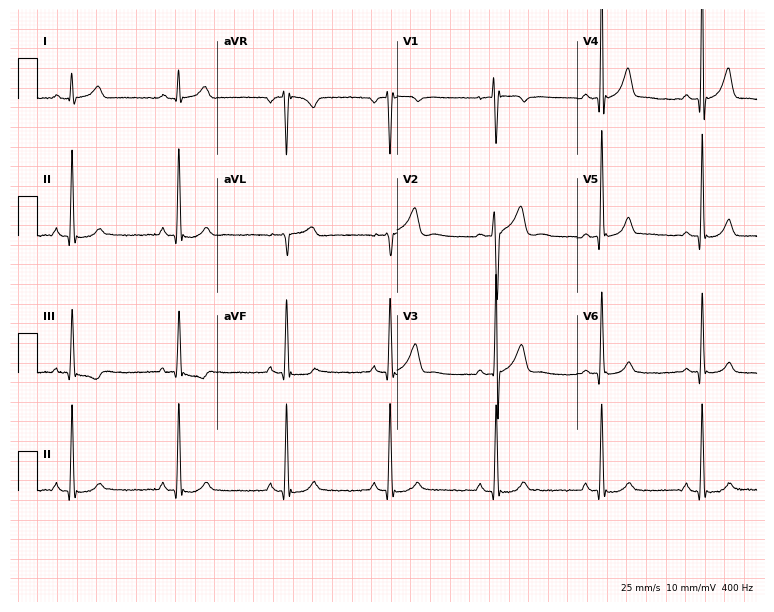
12-lead ECG from a male patient, 23 years old (7.3-second recording at 400 Hz). Recorded interpretation: within normal limits.